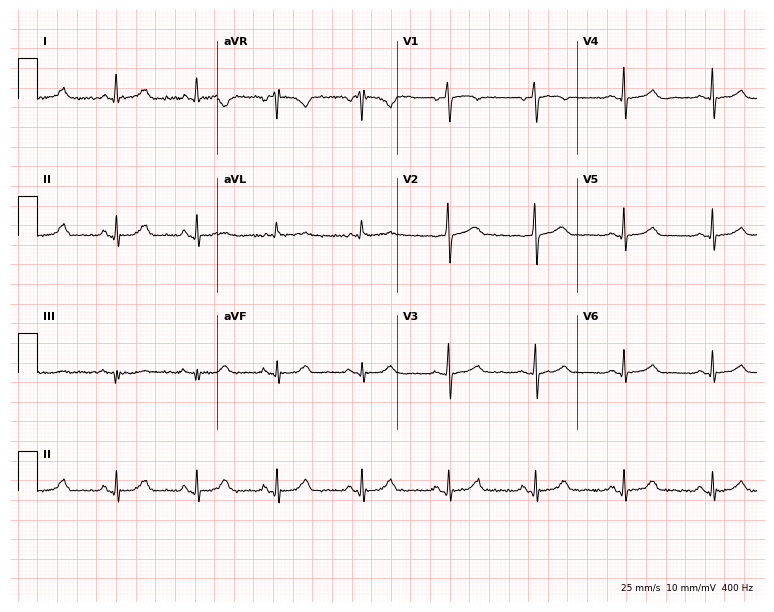
Resting 12-lead electrocardiogram. Patient: a 58-year-old female. Read as a normal ECG.